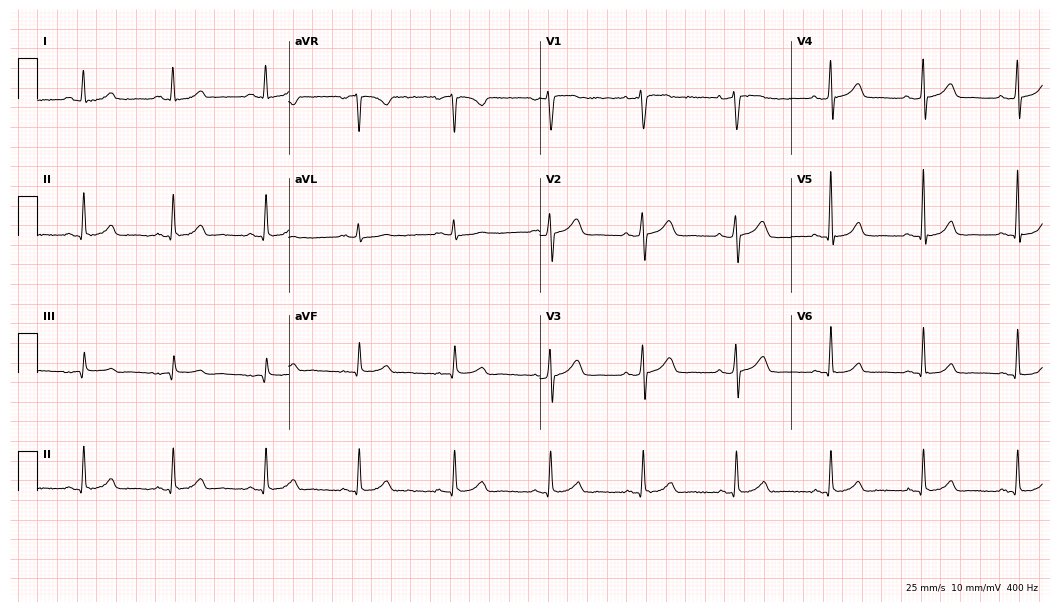
ECG — a female, 45 years old. Labelled as a normal ECG.